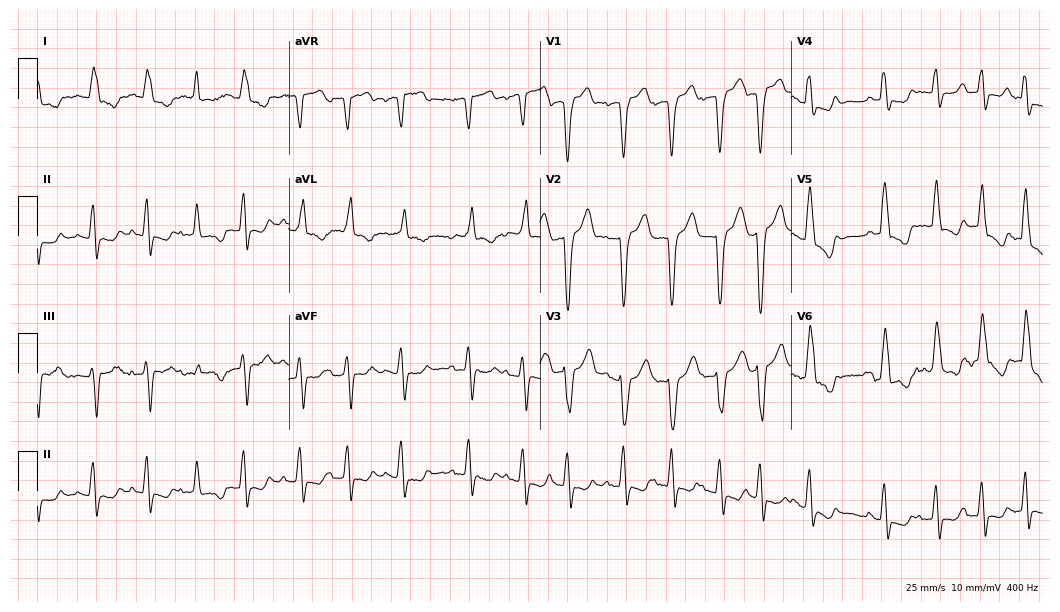
12-lead ECG (10.2-second recording at 400 Hz) from a woman, 84 years old. Findings include left bundle branch block.